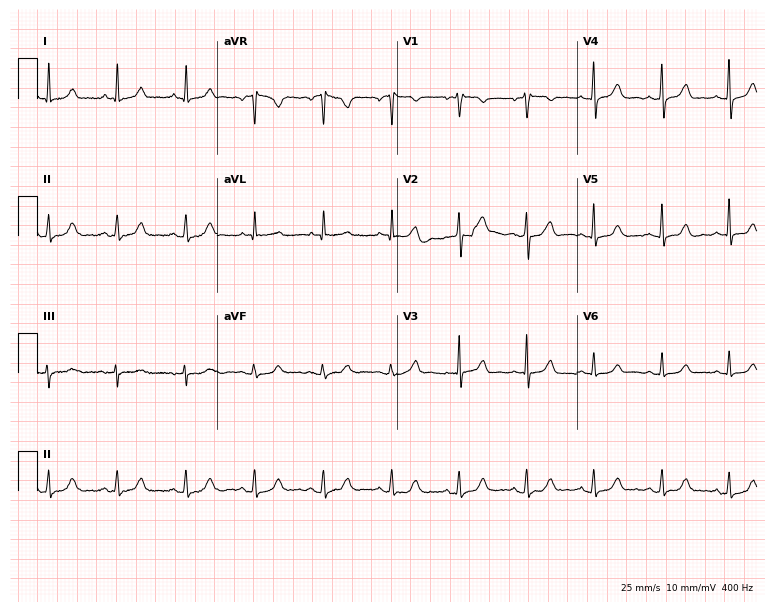
12-lead ECG (7.3-second recording at 400 Hz) from a 60-year-old female patient. Labelled as a normal ECG.